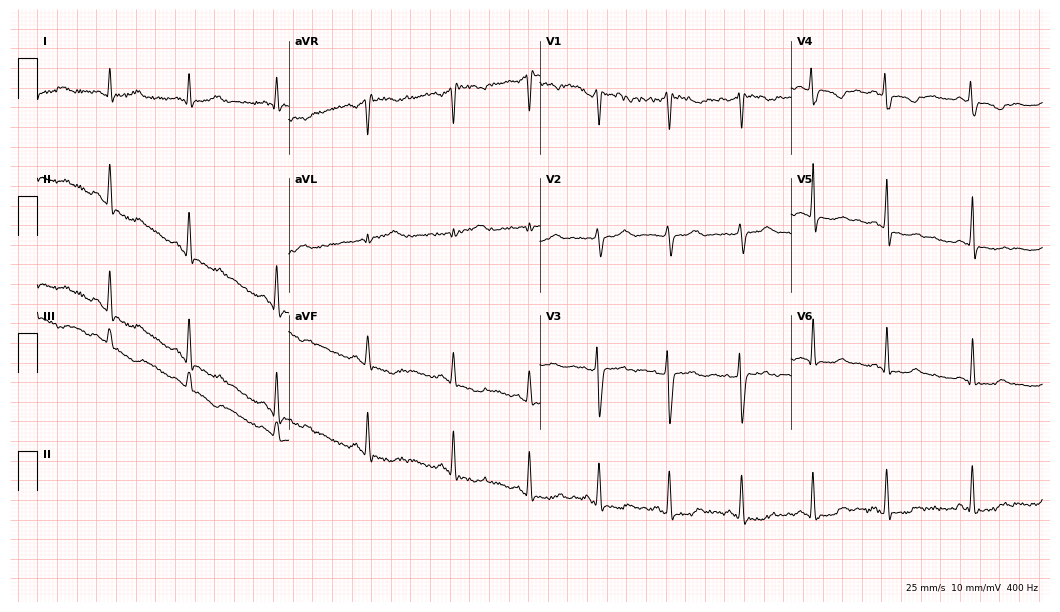
12-lead ECG (10.2-second recording at 400 Hz) from a 35-year-old female patient. Screened for six findings — first-degree AV block, right bundle branch block, left bundle branch block, sinus bradycardia, atrial fibrillation, sinus tachycardia — none is recorded.